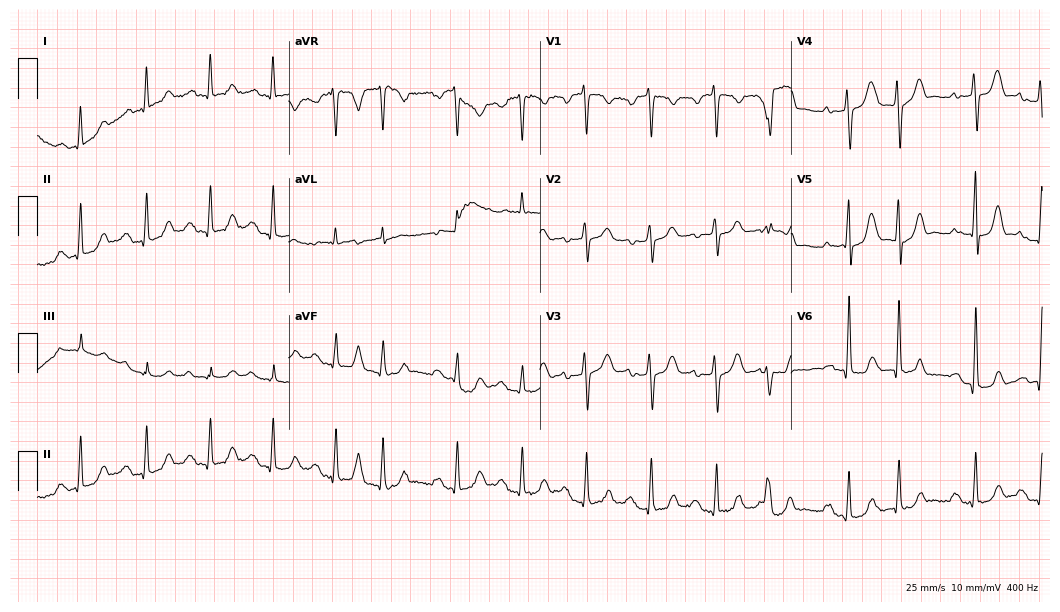
12-lead ECG from a woman, 56 years old. Shows first-degree AV block.